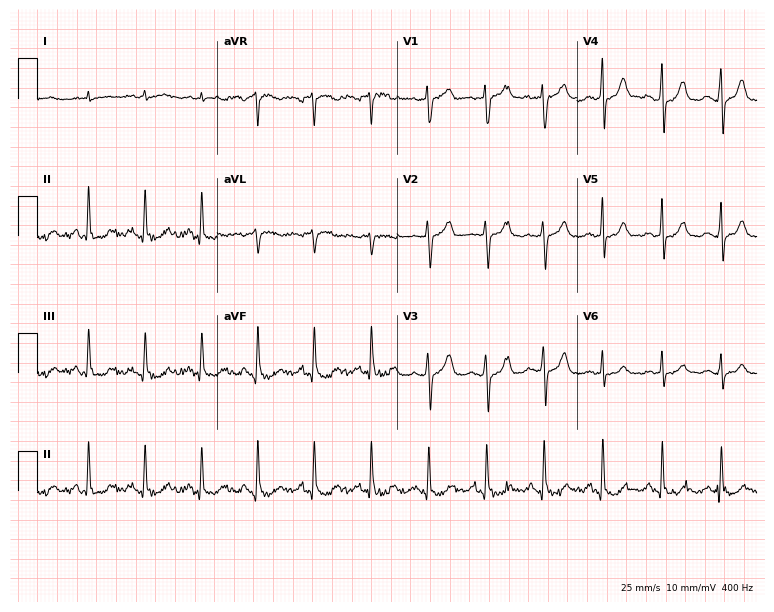
Standard 12-lead ECG recorded from a 62-year-old man. The tracing shows sinus tachycardia (a sinus rate of 100 beats per minute or more).